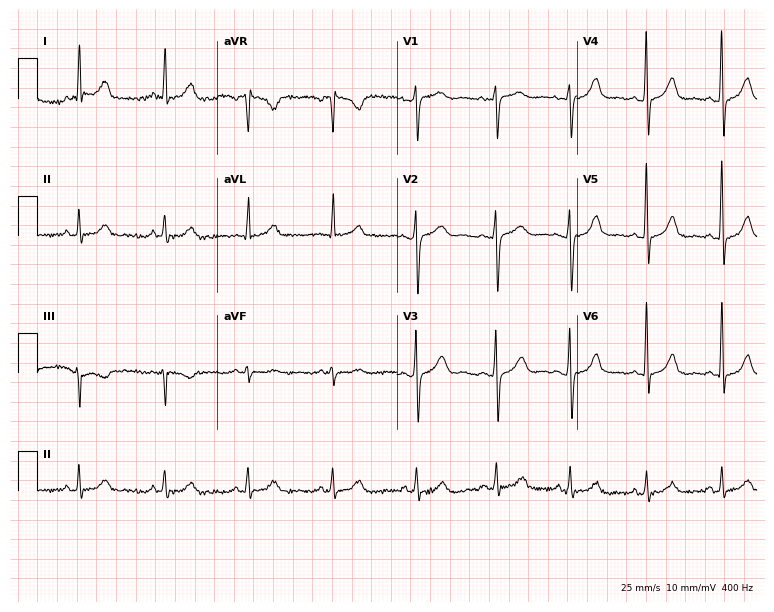
Standard 12-lead ECG recorded from a female patient, 46 years old (7.3-second recording at 400 Hz). None of these six findings is recorded: first-degree AV block, right bundle branch block, left bundle branch block, sinus bradycardia, atrial fibrillation, sinus tachycardia. Findings outside these six are not listed.